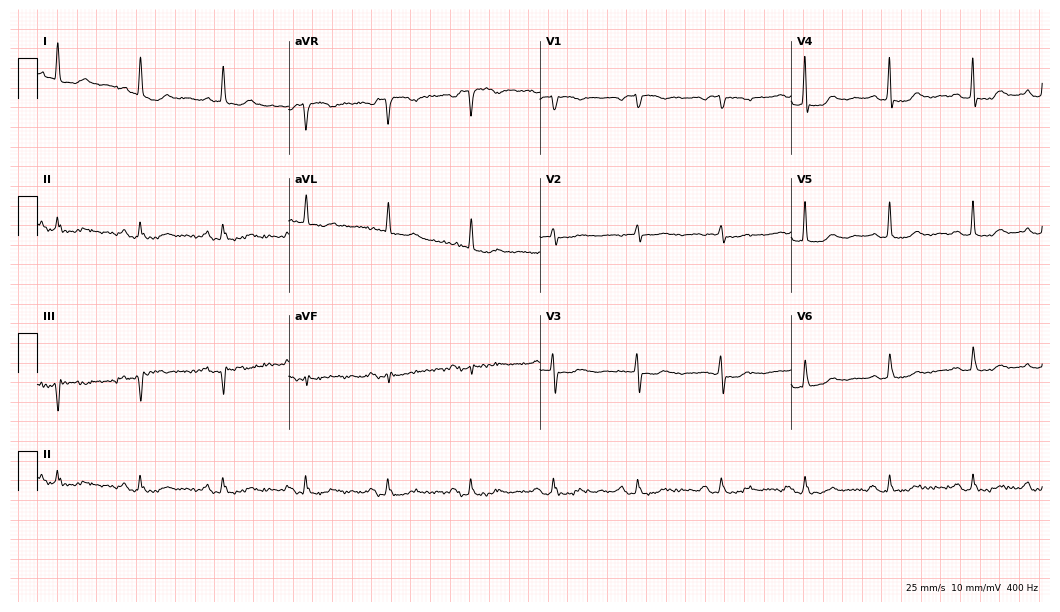
12-lead ECG (10.2-second recording at 400 Hz) from a female, 84 years old. Labelled as a normal ECG.